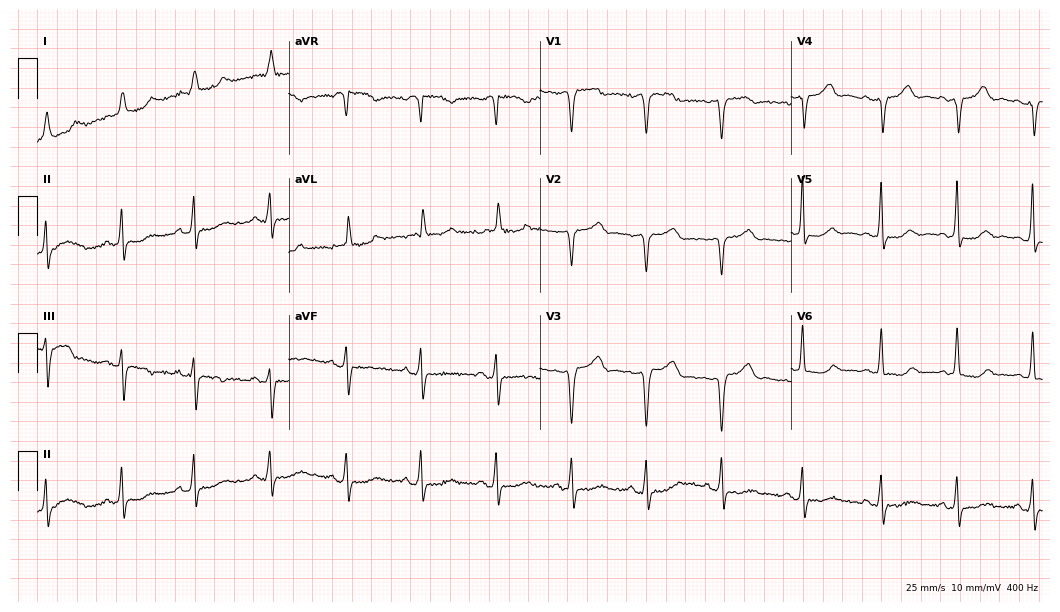
Standard 12-lead ECG recorded from a woman, 68 years old (10.2-second recording at 400 Hz). Read as a normal ECG.